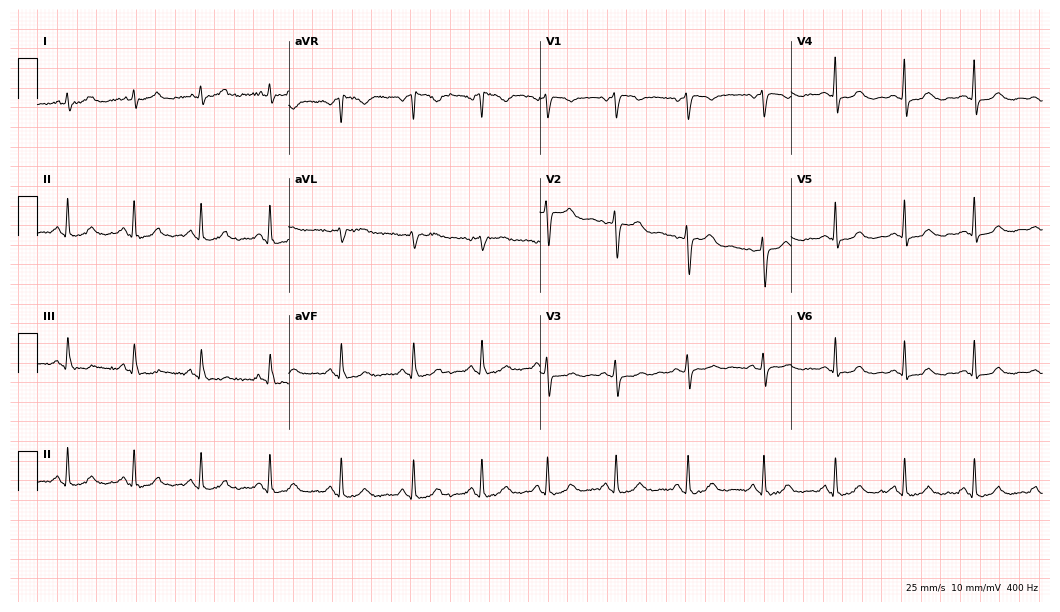
12-lead ECG from a female patient, 45 years old. Recorded interpretation: within normal limits.